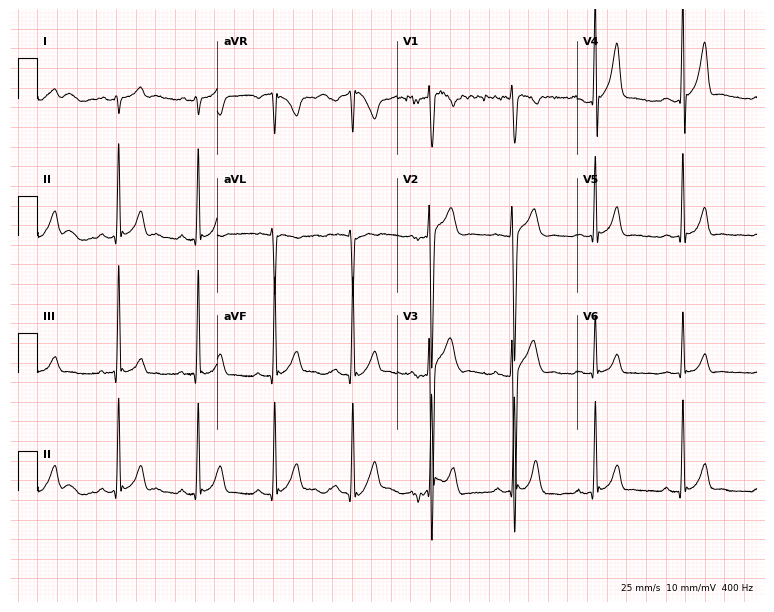
12-lead ECG from a male, 18 years old. Recorded interpretation: within normal limits.